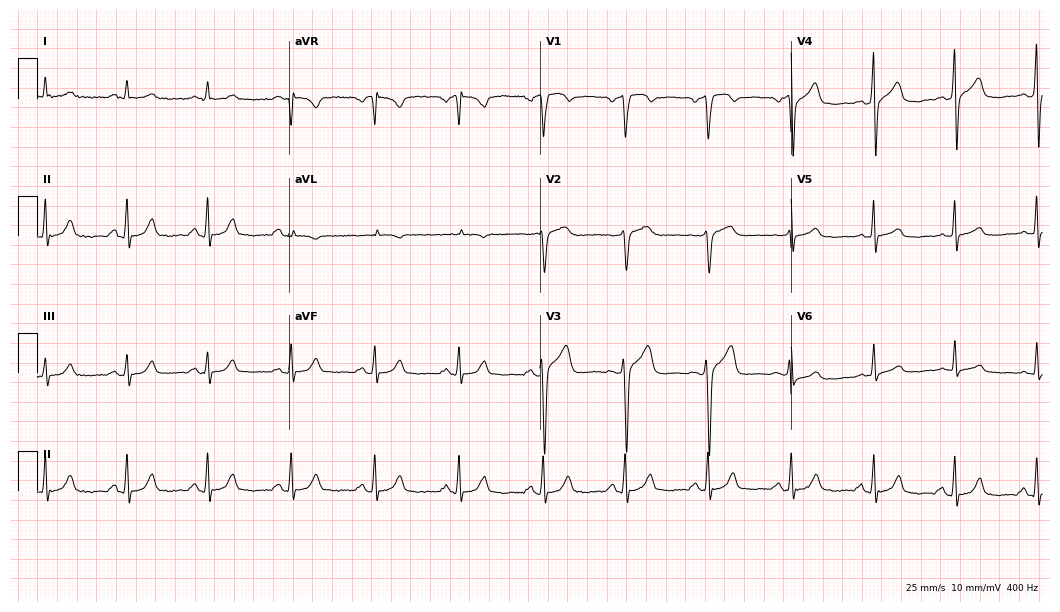
Resting 12-lead electrocardiogram (10.2-second recording at 400 Hz). Patient: a male, 62 years old. Read as a normal ECG.